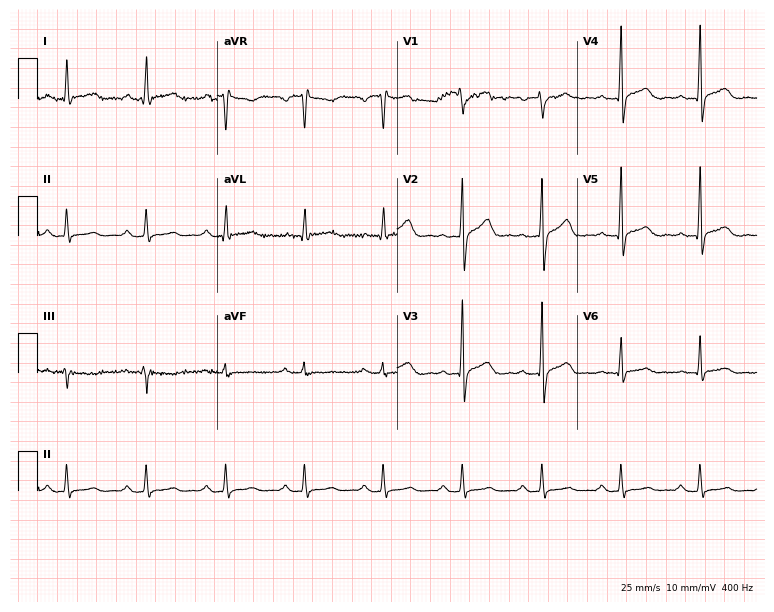
Electrocardiogram, a 50-year-old male. Of the six screened findings (first-degree AV block, right bundle branch block, left bundle branch block, sinus bradycardia, atrial fibrillation, sinus tachycardia), none is recorded. Findings outside these six are not listed.